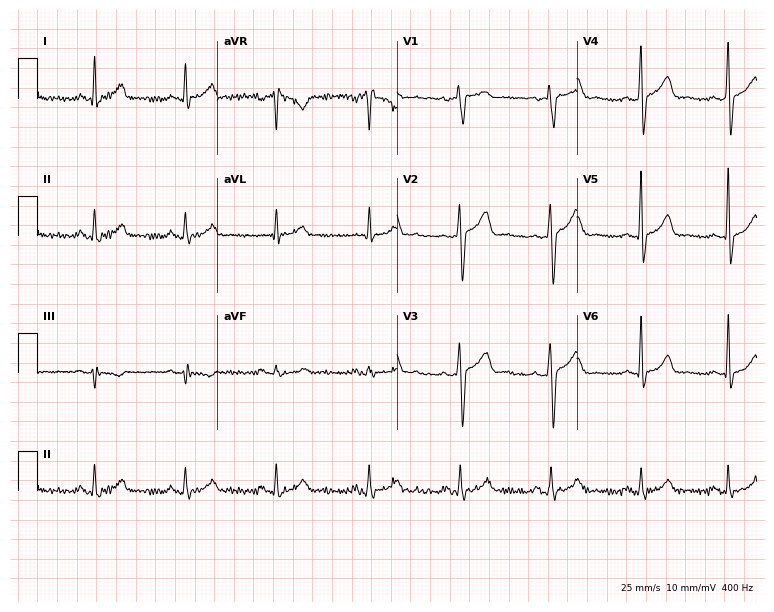
12-lead ECG from a 50-year-old male patient. Screened for six findings — first-degree AV block, right bundle branch block (RBBB), left bundle branch block (LBBB), sinus bradycardia, atrial fibrillation (AF), sinus tachycardia — none is recorded.